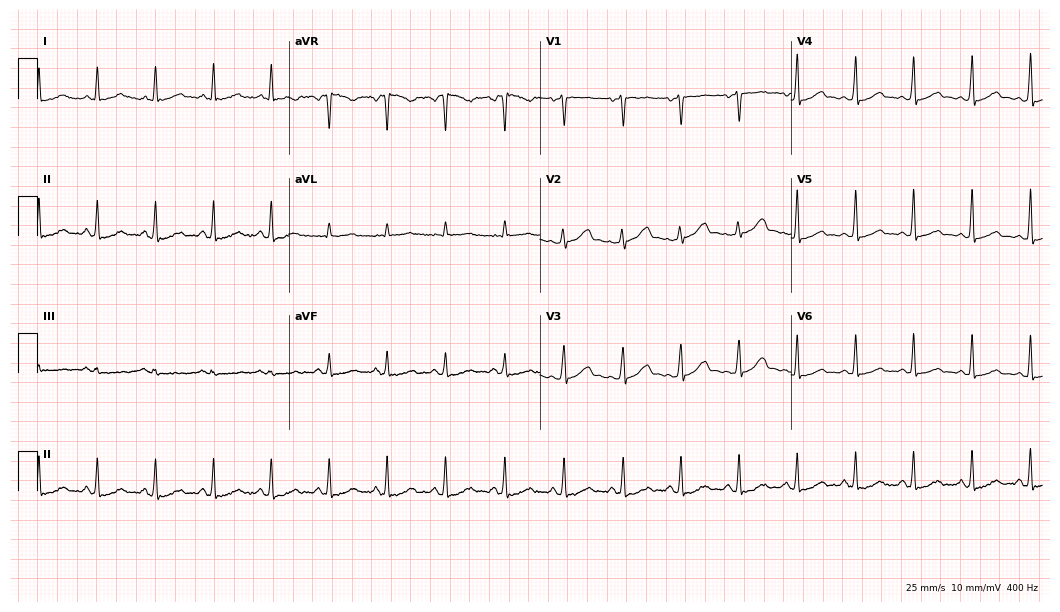
Standard 12-lead ECG recorded from a 40-year-old woman. The tracing shows sinus tachycardia (a sinus rate of 100 beats per minute or more).